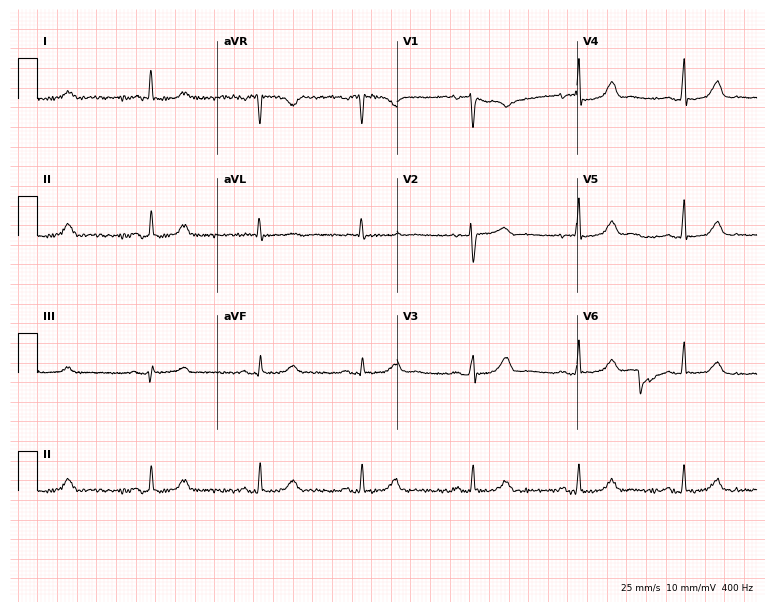
Electrocardiogram, a female patient, 65 years old. Overall reading on record: normal ECG.